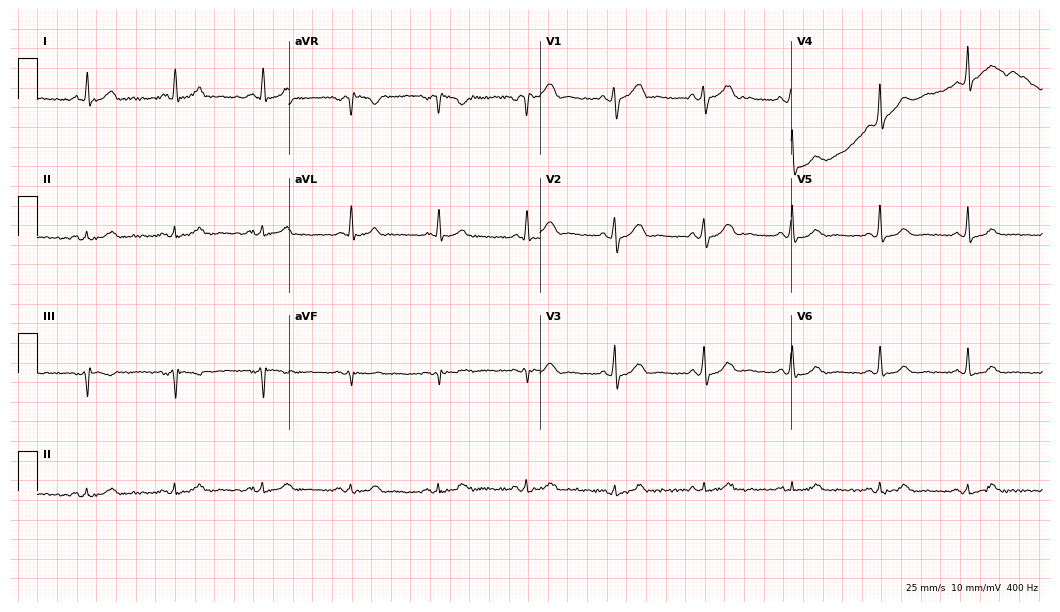
Electrocardiogram, a male patient, 62 years old. Overall reading on record: normal ECG.